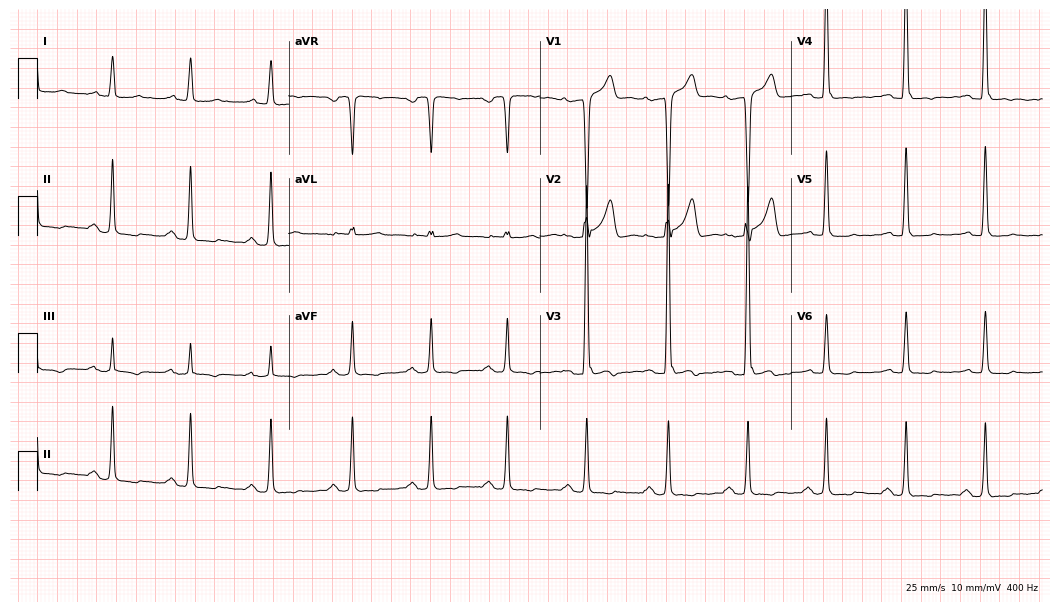
ECG — a male, 31 years old. Screened for six findings — first-degree AV block, right bundle branch block, left bundle branch block, sinus bradycardia, atrial fibrillation, sinus tachycardia — none is recorded.